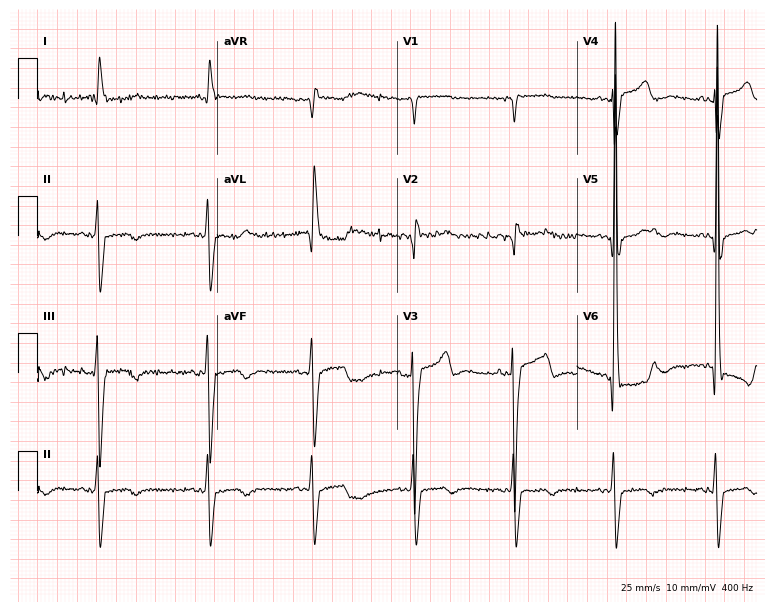
ECG (7.3-second recording at 400 Hz) — a man, 84 years old. Findings include right bundle branch block (RBBB).